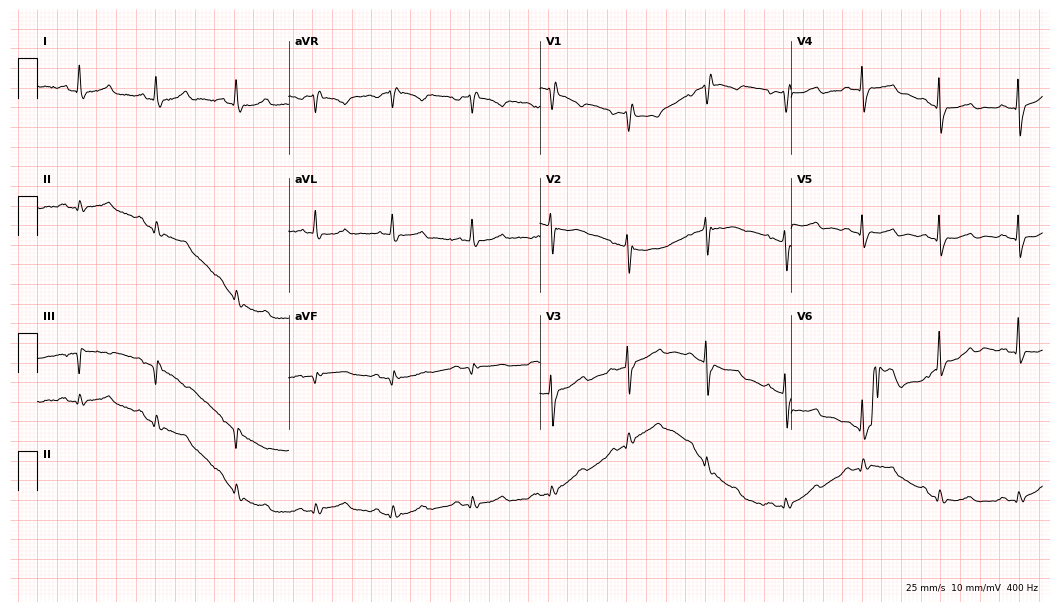
12-lead ECG from a female, 78 years old. No first-degree AV block, right bundle branch block, left bundle branch block, sinus bradycardia, atrial fibrillation or sinus tachycardia recorded for this tracing.